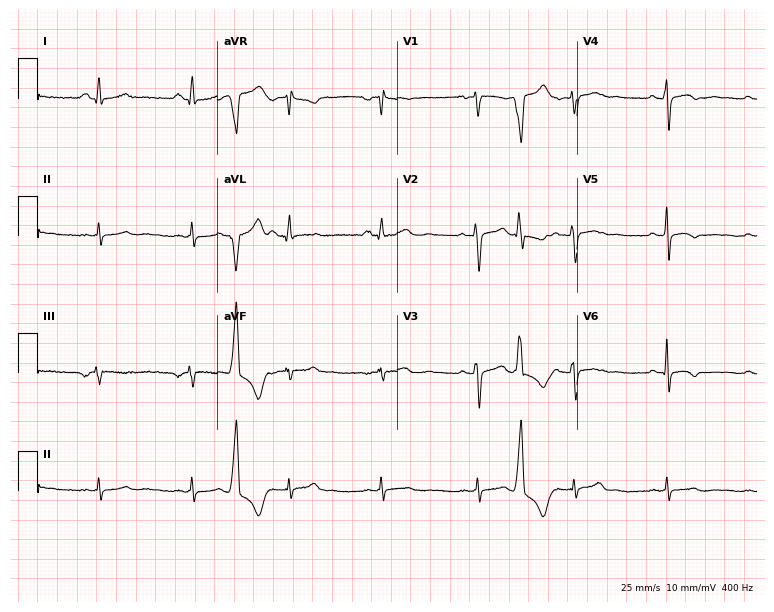
12-lead ECG from a 45-year-old female patient (7.3-second recording at 400 Hz). No first-degree AV block, right bundle branch block (RBBB), left bundle branch block (LBBB), sinus bradycardia, atrial fibrillation (AF) or sinus tachycardia recorded for this tracing.